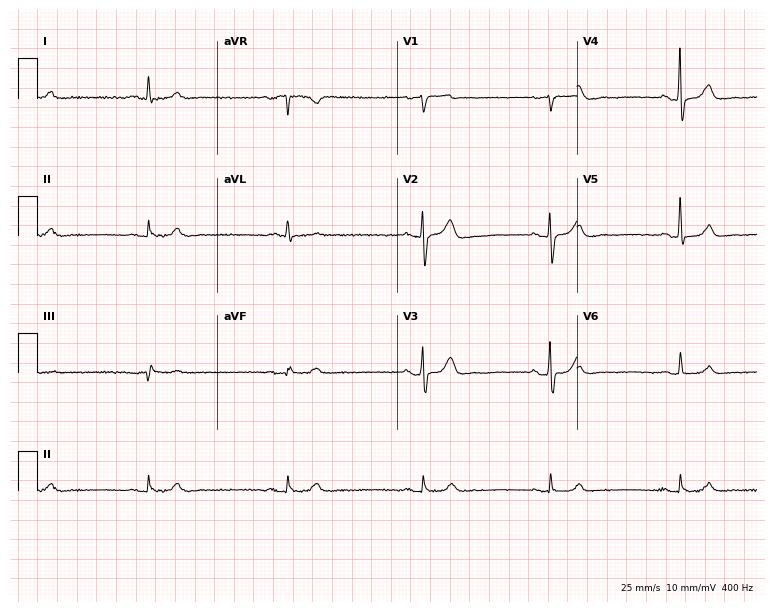
12-lead ECG from a 58-year-old male. Screened for six findings — first-degree AV block, right bundle branch block (RBBB), left bundle branch block (LBBB), sinus bradycardia, atrial fibrillation (AF), sinus tachycardia — none is recorded. Findings outside these six are not listed.